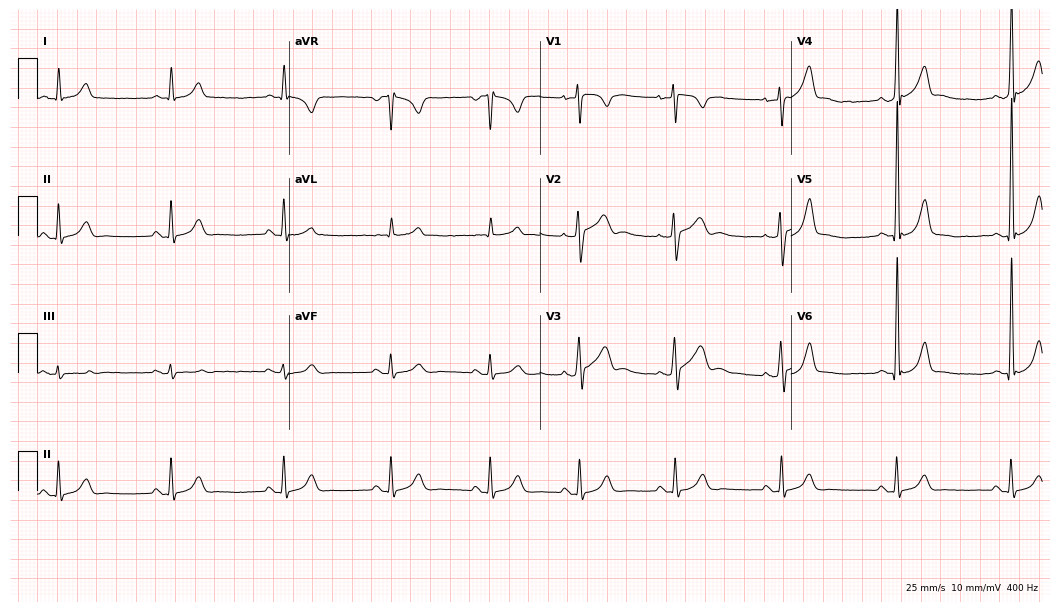
Standard 12-lead ECG recorded from a man, 57 years old (10.2-second recording at 400 Hz). None of these six findings is recorded: first-degree AV block, right bundle branch block (RBBB), left bundle branch block (LBBB), sinus bradycardia, atrial fibrillation (AF), sinus tachycardia.